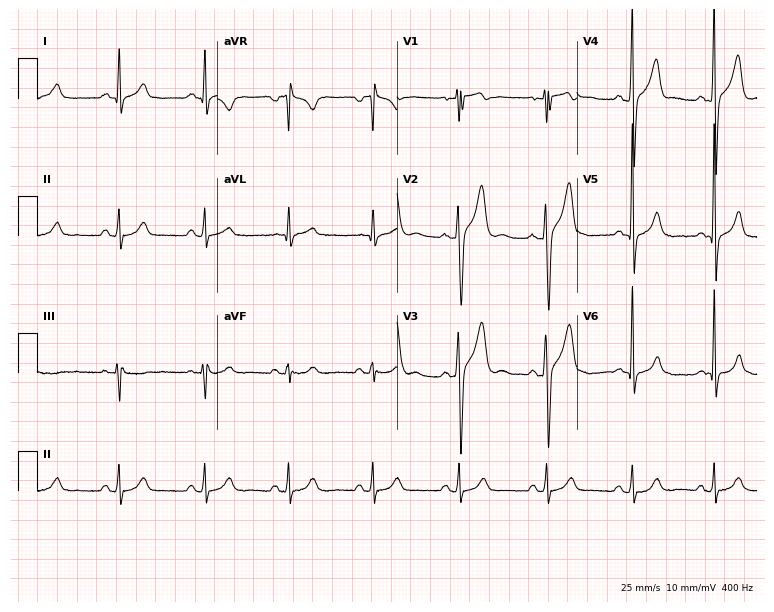
12-lead ECG from a man, 40 years old. No first-degree AV block, right bundle branch block, left bundle branch block, sinus bradycardia, atrial fibrillation or sinus tachycardia recorded for this tracing. Other findings, if any, are not listed.